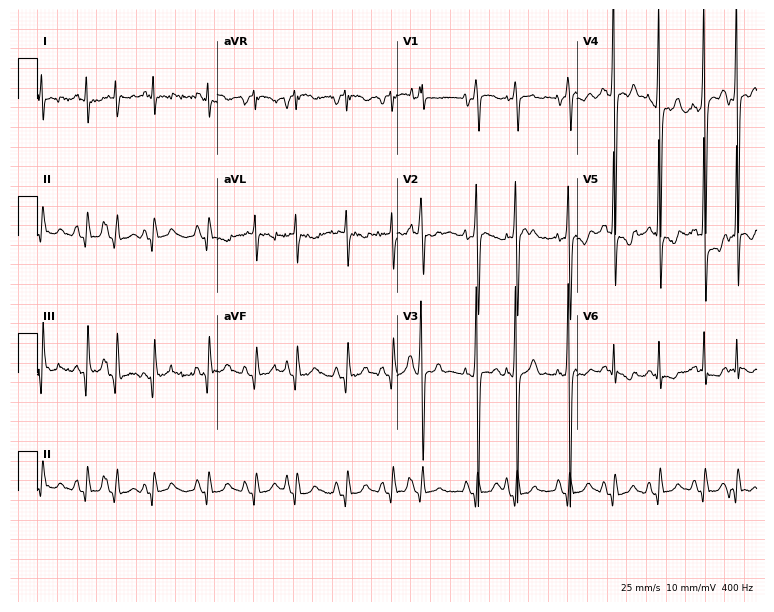
Resting 12-lead electrocardiogram (7.3-second recording at 400 Hz). Patient: a male, 73 years old. The tracing shows sinus tachycardia (a sinus rate of 100 beats per minute or more).